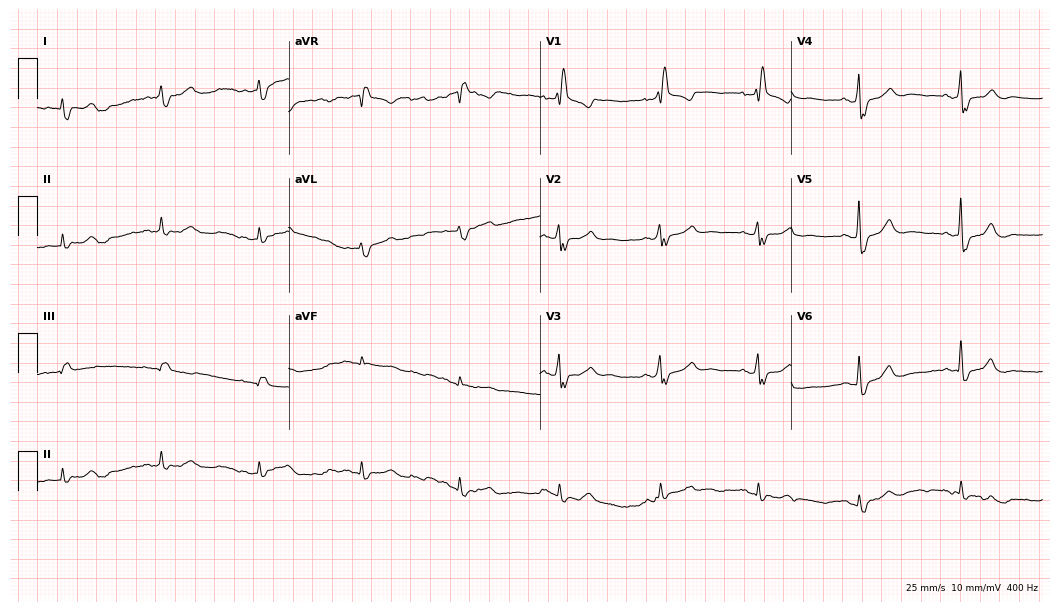
12-lead ECG from a male patient, 60 years old. No first-degree AV block, right bundle branch block, left bundle branch block, sinus bradycardia, atrial fibrillation or sinus tachycardia recorded for this tracing. Other findings, if any, are not listed.